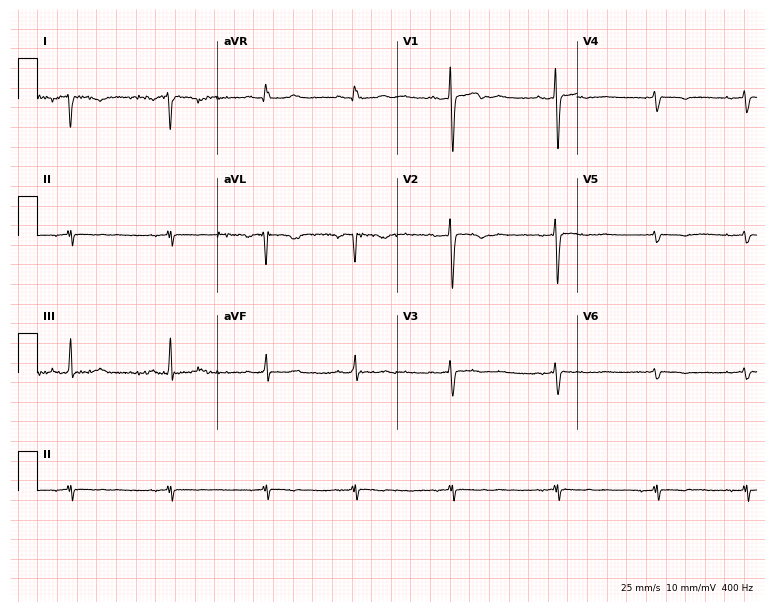
12-lead ECG from a woman, 22 years old (7.3-second recording at 400 Hz). Recorded interpretation: within normal limits.